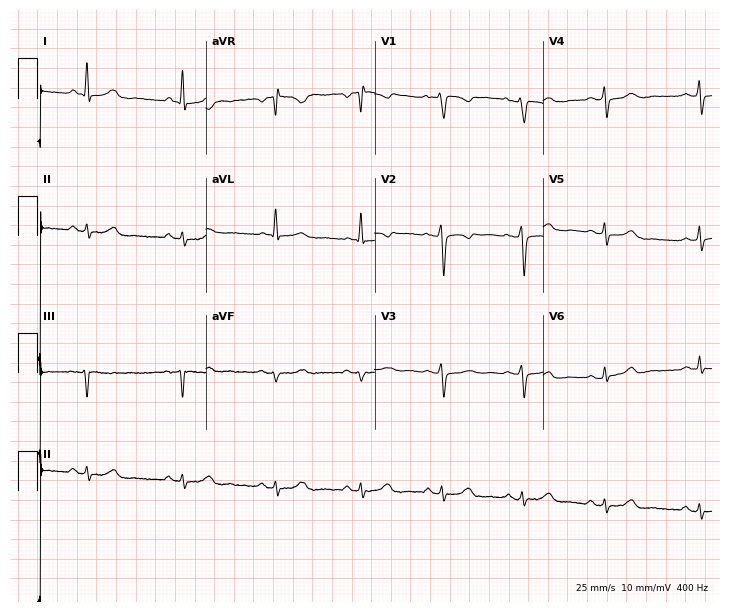
12-lead ECG from a 56-year-old female. Recorded interpretation: within normal limits.